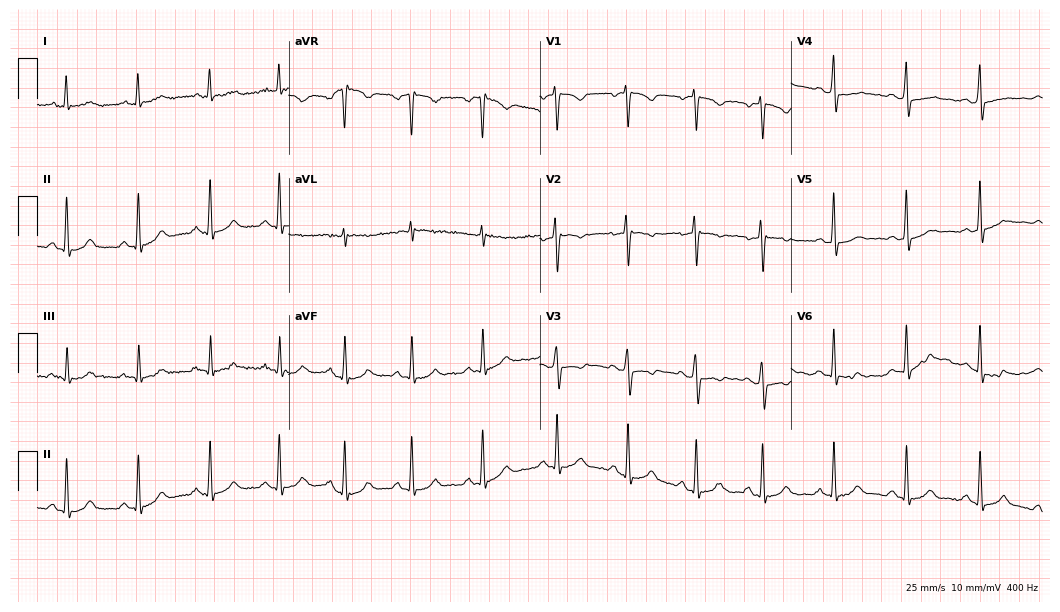
12-lead ECG from a 29-year-old female (10.2-second recording at 400 Hz). No first-degree AV block, right bundle branch block, left bundle branch block, sinus bradycardia, atrial fibrillation or sinus tachycardia recorded for this tracing. Only these six findings were labelled.